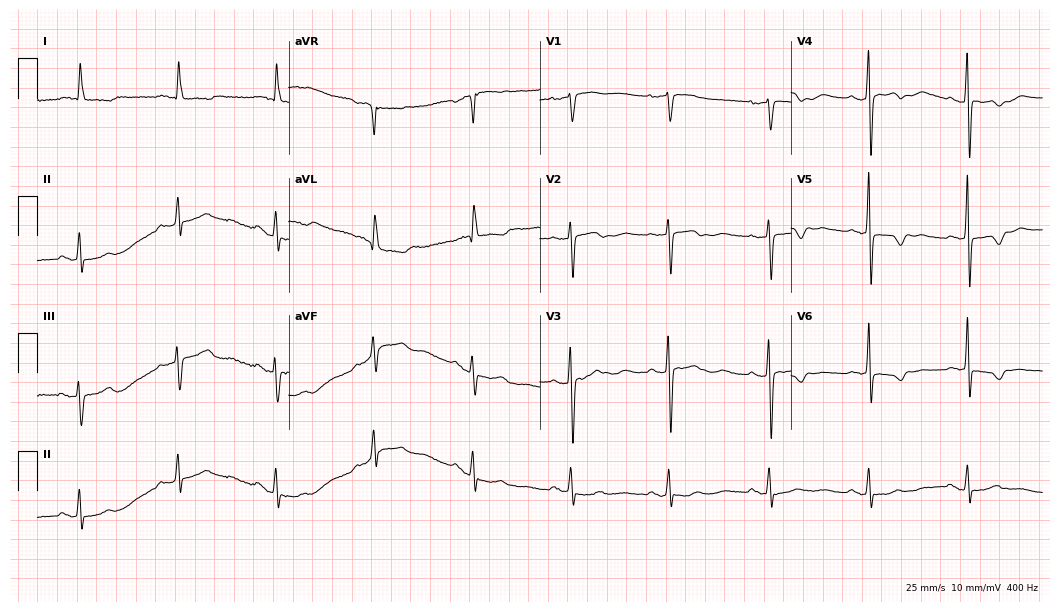
ECG — a woman, 82 years old. Screened for six findings — first-degree AV block, right bundle branch block, left bundle branch block, sinus bradycardia, atrial fibrillation, sinus tachycardia — none is recorded. Only these six findings were labelled.